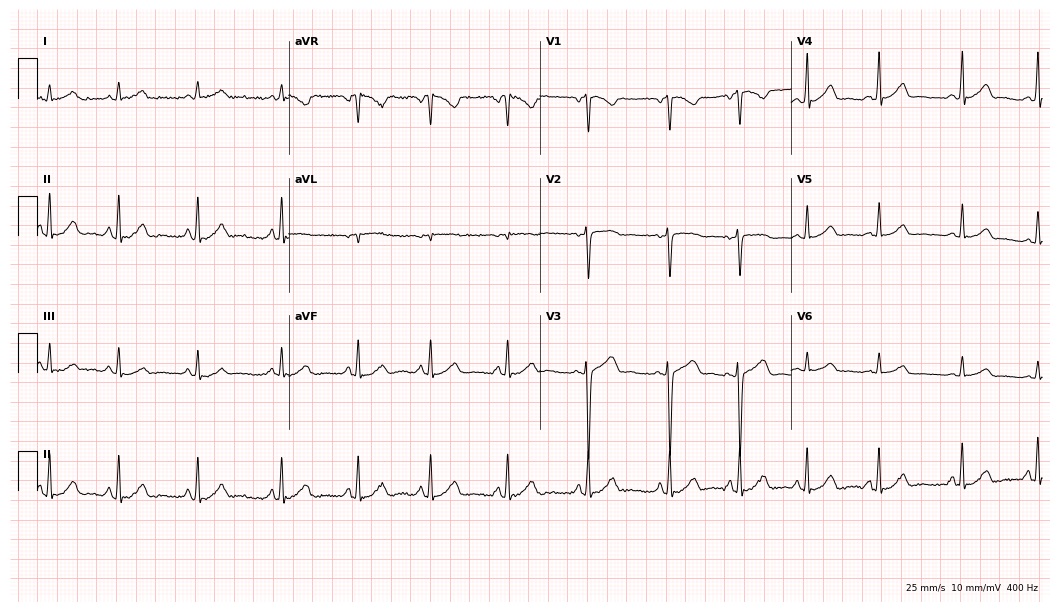
Resting 12-lead electrocardiogram. Patient: an 18-year-old female. Read as a normal ECG.